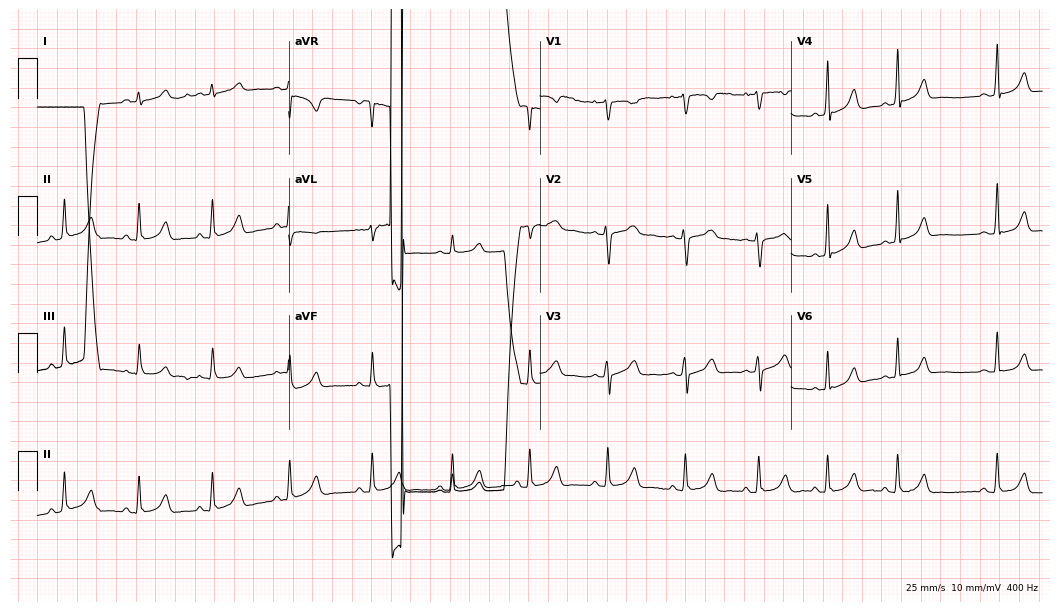
12-lead ECG (10.2-second recording at 400 Hz) from a 19-year-old female. Screened for six findings — first-degree AV block, right bundle branch block, left bundle branch block, sinus bradycardia, atrial fibrillation, sinus tachycardia — none is recorded. Findings outside these six are not listed.